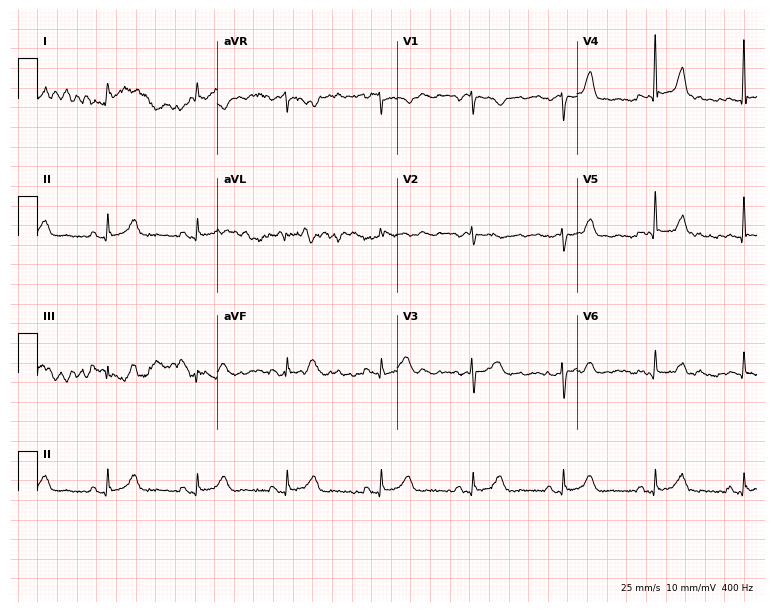
12-lead ECG from an 84-year-old woman. Labelled as a normal ECG.